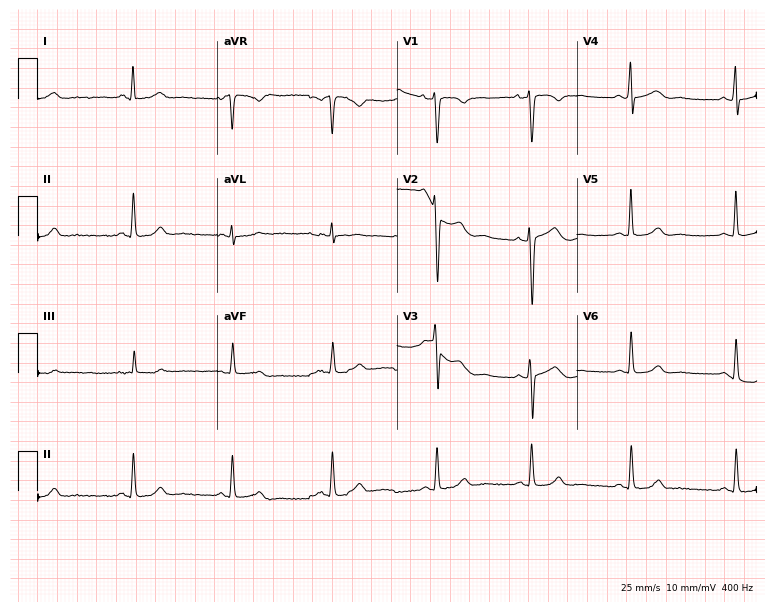
Standard 12-lead ECG recorded from a 45-year-old female patient (7.3-second recording at 400 Hz). None of these six findings is recorded: first-degree AV block, right bundle branch block (RBBB), left bundle branch block (LBBB), sinus bradycardia, atrial fibrillation (AF), sinus tachycardia.